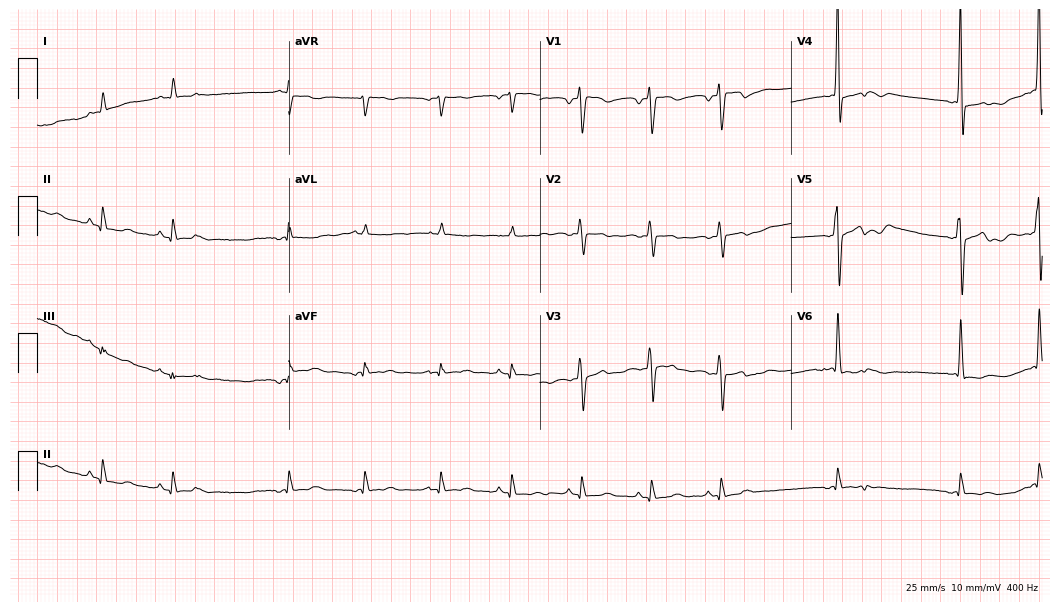
12-lead ECG from an 83-year-old female patient. Labelled as a normal ECG.